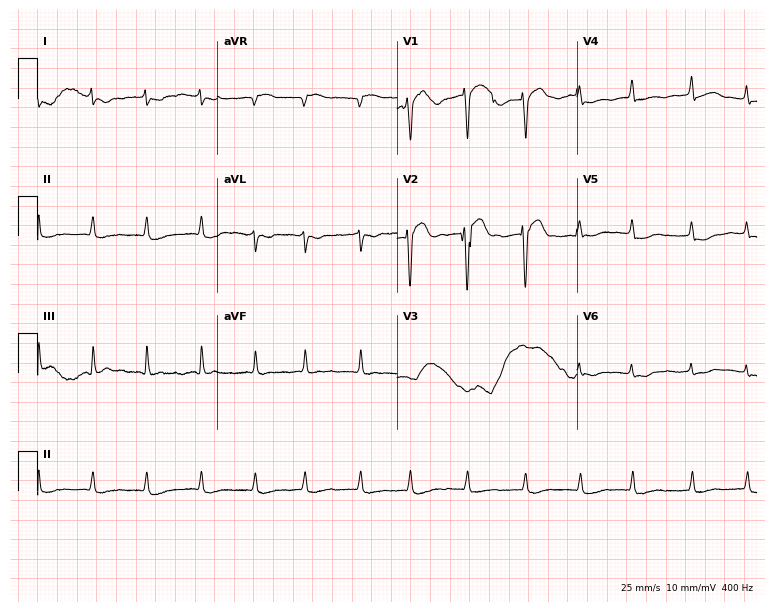
12-lead ECG (7.3-second recording at 400 Hz) from a woman, 80 years old. Findings include atrial fibrillation.